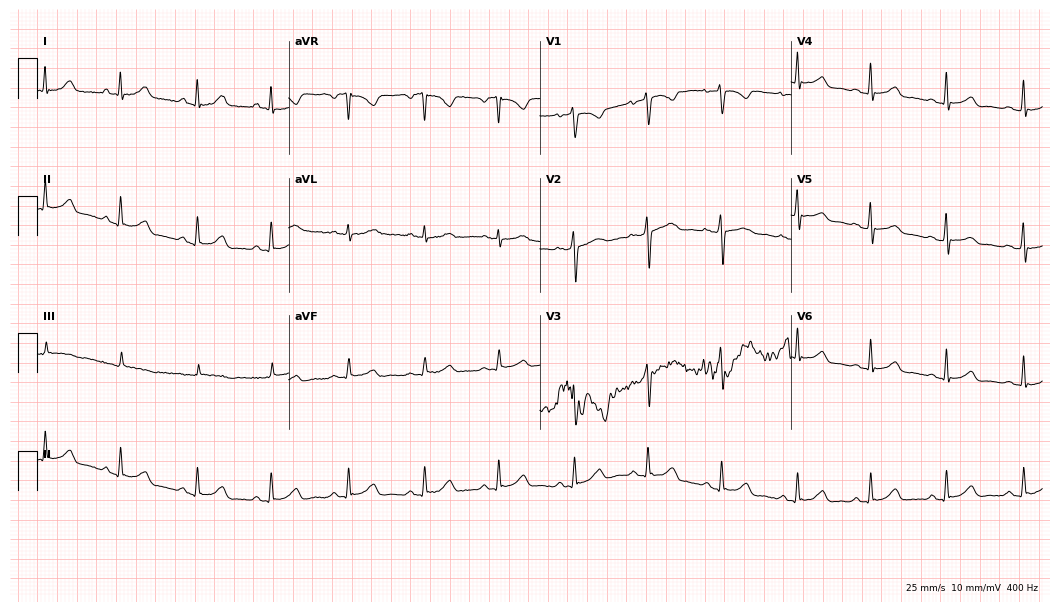
Standard 12-lead ECG recorded from a 42-year-old woman (10.2-second recording at 400 Hz). Read as a normal ECG.